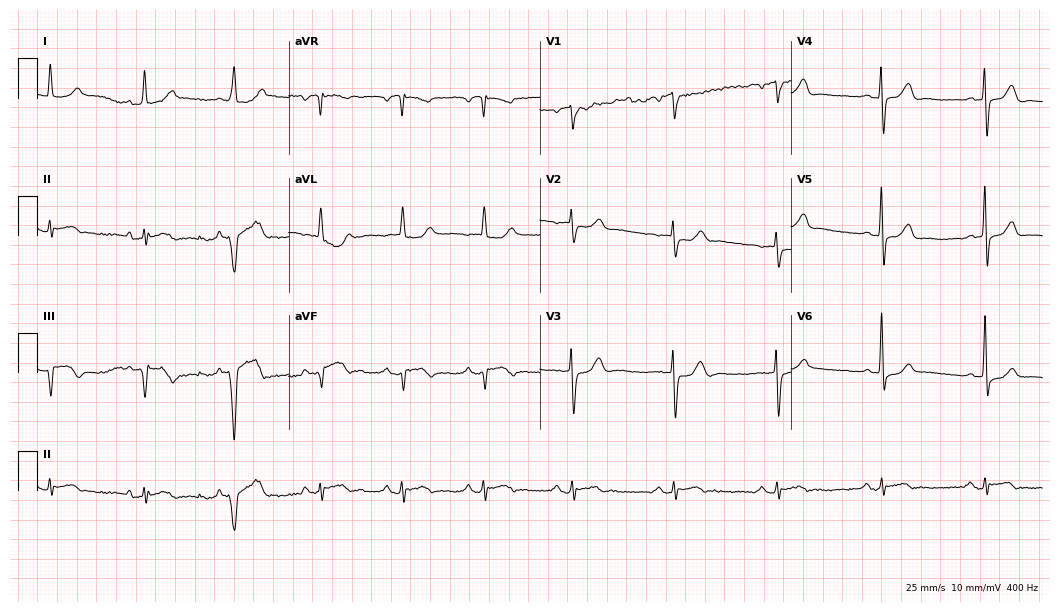
12-lead ECG from a male, 85 years old. Screened for six findings — first-degree AV block, right bundle branch block, left bundle branch block, sinus bradycardia, atrial fibrillation, sinus tachycardia — none is recorded.